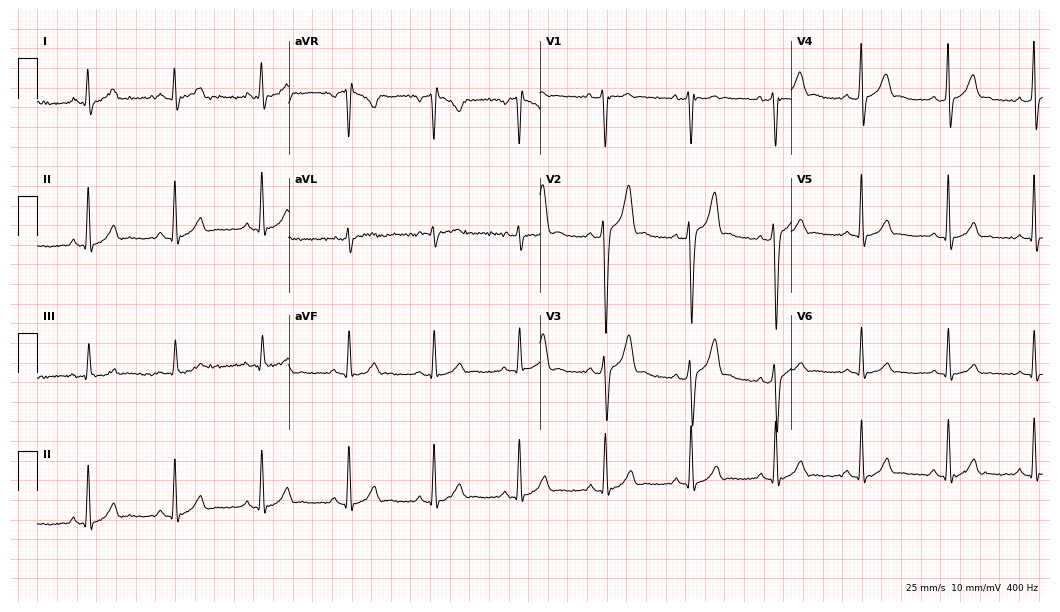
ECG (10.2-second recording at 400 Hz) — a man, 23 years old. Labelled as a normal ECG.